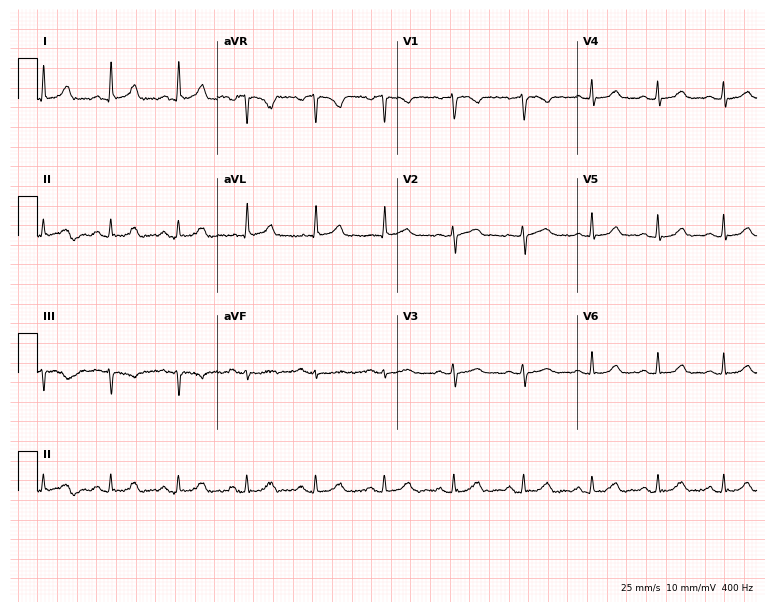
ECG — a woman, 65 years old. Labelled as a normal ECG.